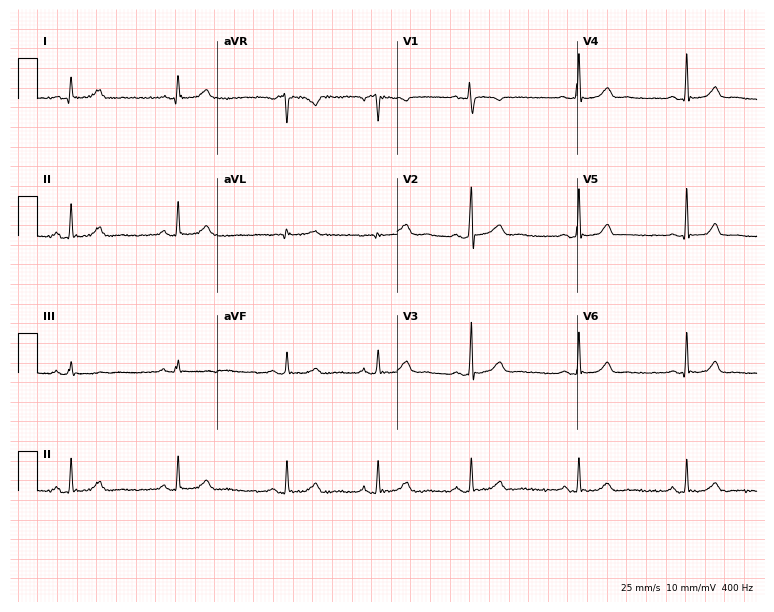
Electrocardiogram (7.3-second recording at 400 Hz), a 28-year-old female. Of the six screened findings (first-degree AV block, right bundle branch block, left bundle branch block, sinus bradycardia, atrial fibrillation, sinus tachycardia), none is recorded. Other findings, if any, are not listed.